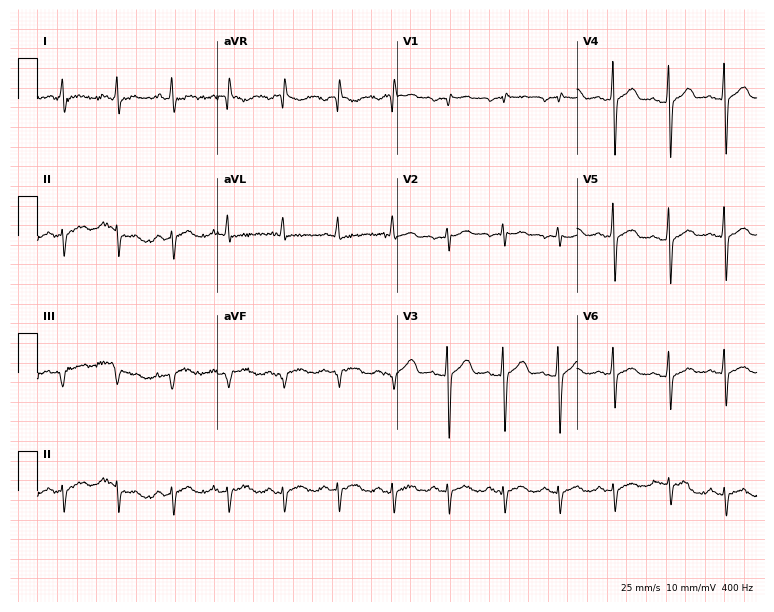
ECG — a 51-year-old man. Findings include sinus tachycardia (a sinus rate of 100 beats per minute or more).